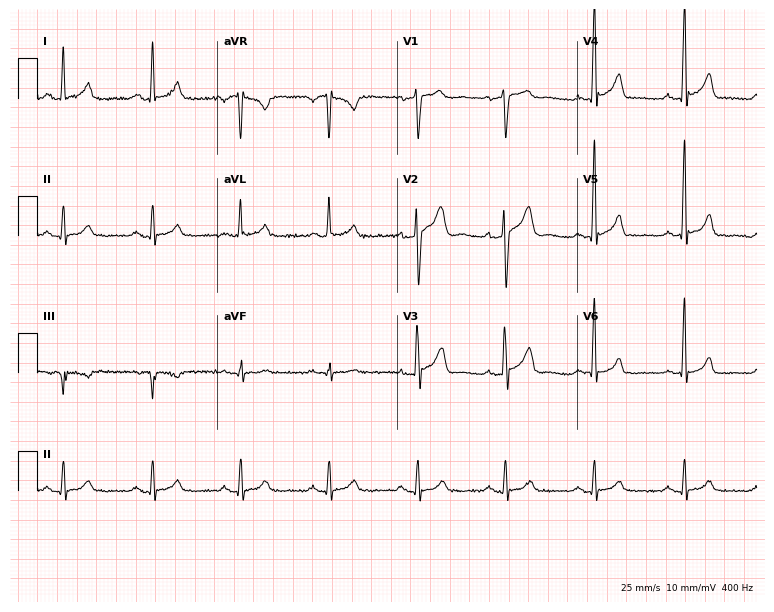
Electrocardiogram (7.3-second recording at 400 Hz), a man, 64 years old. Overall reading on record: normal ECG.